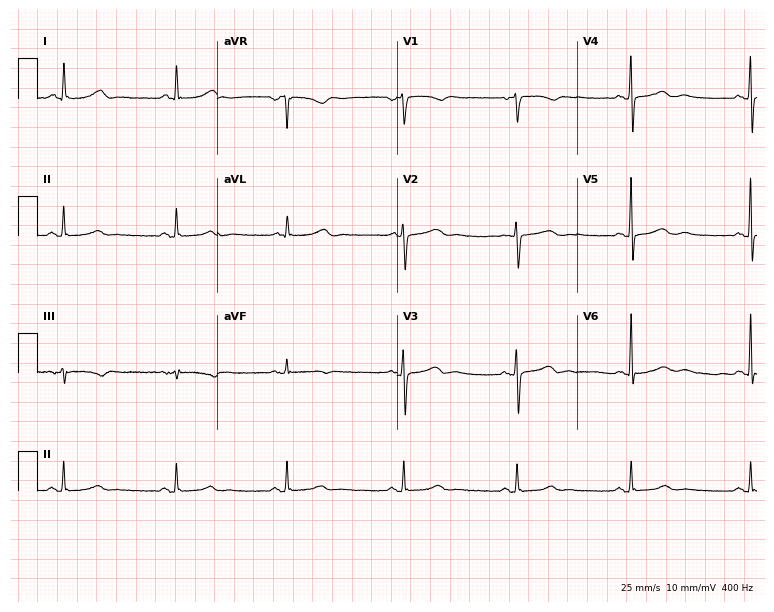
ECG (7.3-second recording at 400 Hz) — a female patient, 53 years old. Screened for six findings — first-degree AV block, right bundle branch block, left bundle branch block, sinus bradycardia, atrial fibrillation, sinus tachycardia — none is recorded.